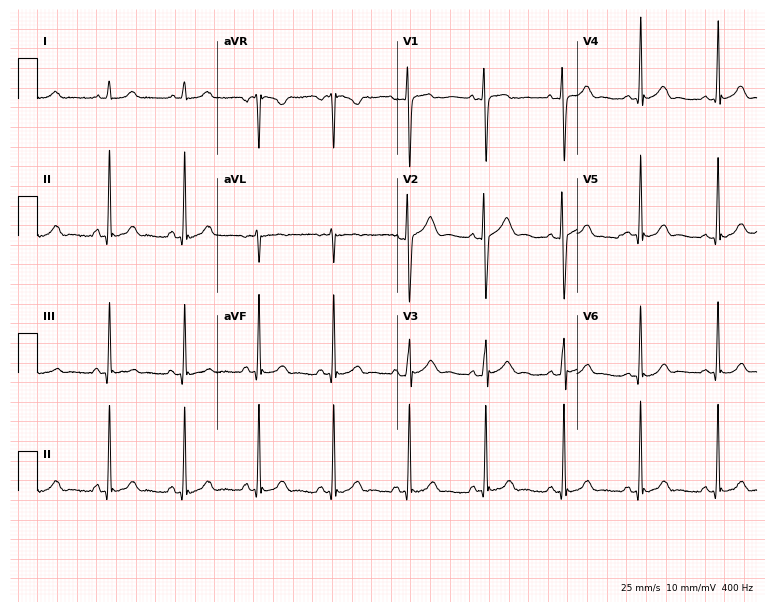
Standard 12-lead ECG recorded from a female, 27 years old. Read as a normal ECG.